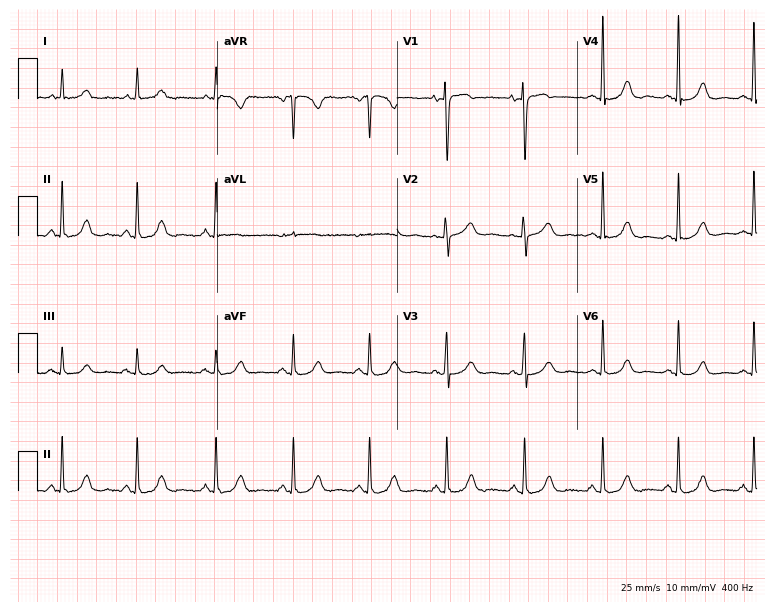
12-lead ECG from a female, 57 years old. Labelled as a normal ECG.